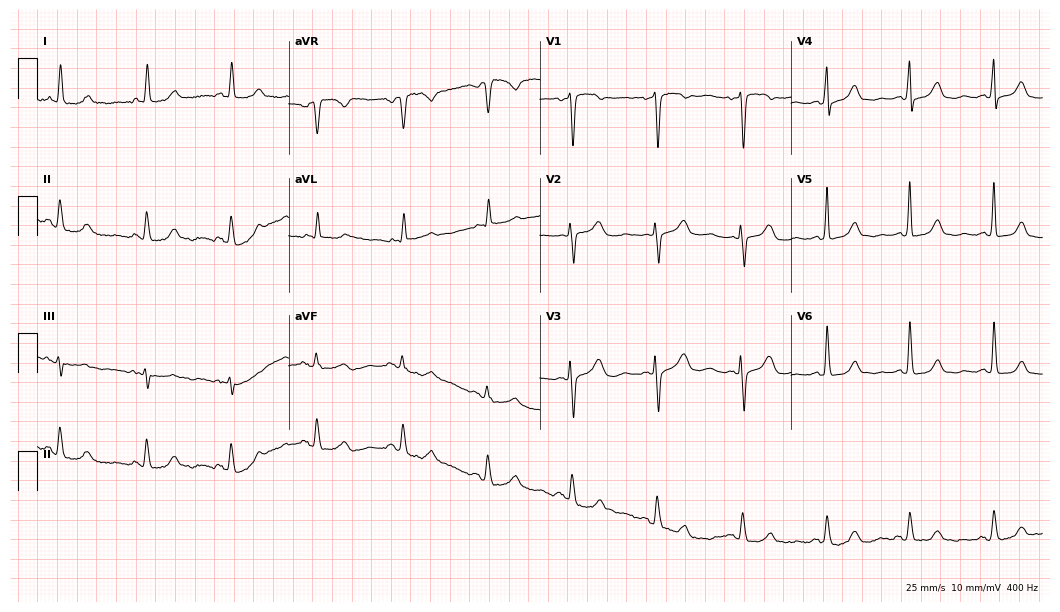
Standard 12-lead ECG recorded from a female patient, 72 years old (10.2-second recording at 400 Hz). None of these six findings is recorded: first-degree AV block, right bundle branch block, left bundle branch block, sinus bradycardia, atrial fibrillation, sinus tachycardia.